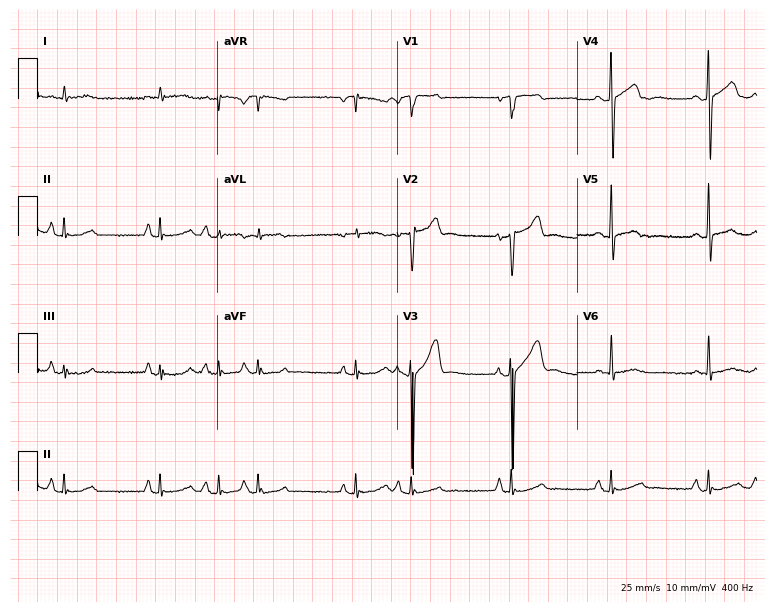
Standard 12-lead ECG recorded from a male patient, 71 years old (7.3-second recording at 400 Hz). Read as a normal ECG.